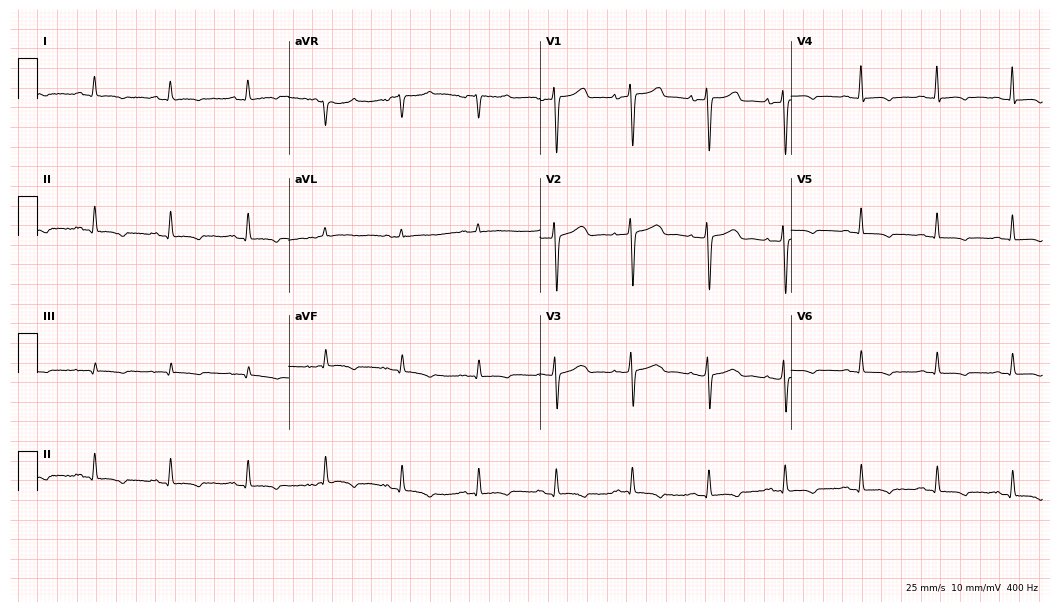
ECG (10.2-second recording at 400 Hz) — a 73-year-old woman. Labelled as a normal ECG.